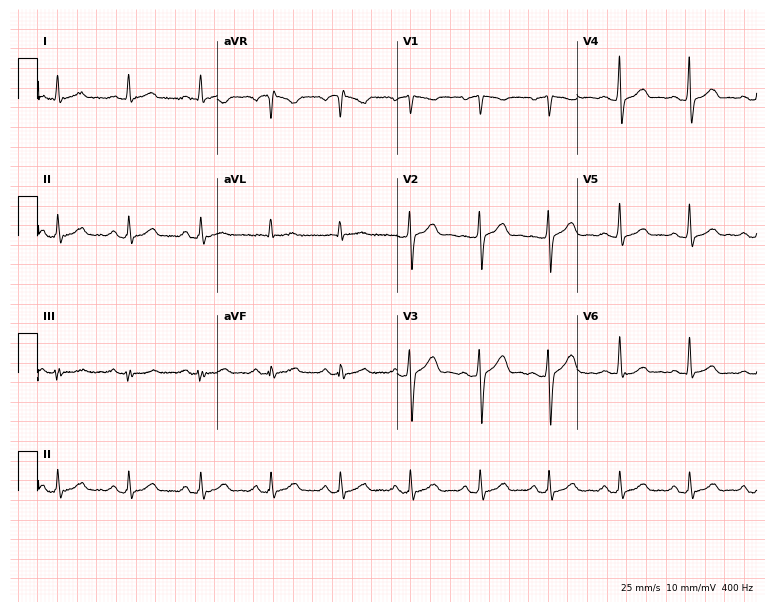
Electrocardiogram (7.3-second recording at 400 Hz), a 53-year-old man. Overall reading on record: normal ECG.